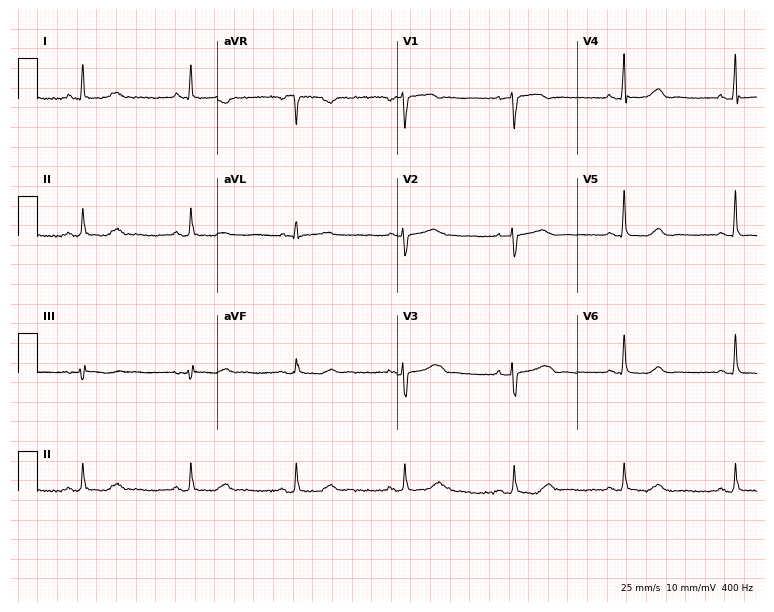
ECG — a female patient, 79 years old. Screened for six findings — first-degree AV block, right bundle branch block, left bundle branch block, sinus bradycardia, atrial fibrillation, sinus tachycardia — none is recorded.